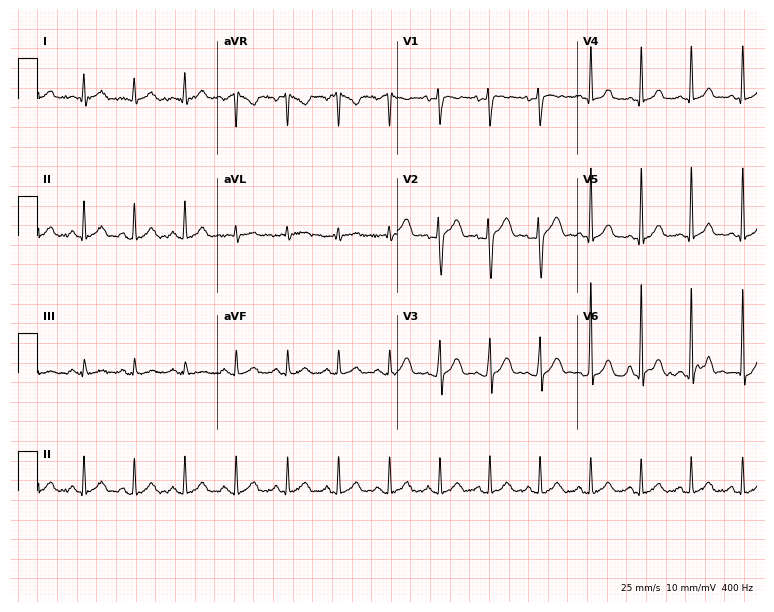
12-lead ECG from a female, 36 years old. Shows sinus tachycardia (a sinus rate of 100 beats per minute or more).